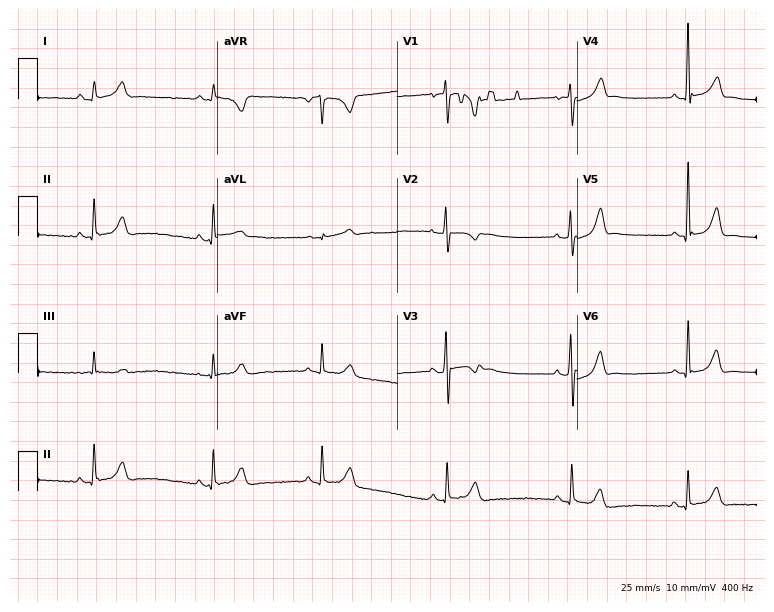
Standard 12-lead ECG recorded from a woman, 24 years old (7.3-second recording at 400 Hz). None of these six findings is recorded: first-degree AV block, right bundle branch block (RBBB), left bundle branch block (LBBB), sinus bradycardia, atrial fibrillation (AF), sinus tachycardia.